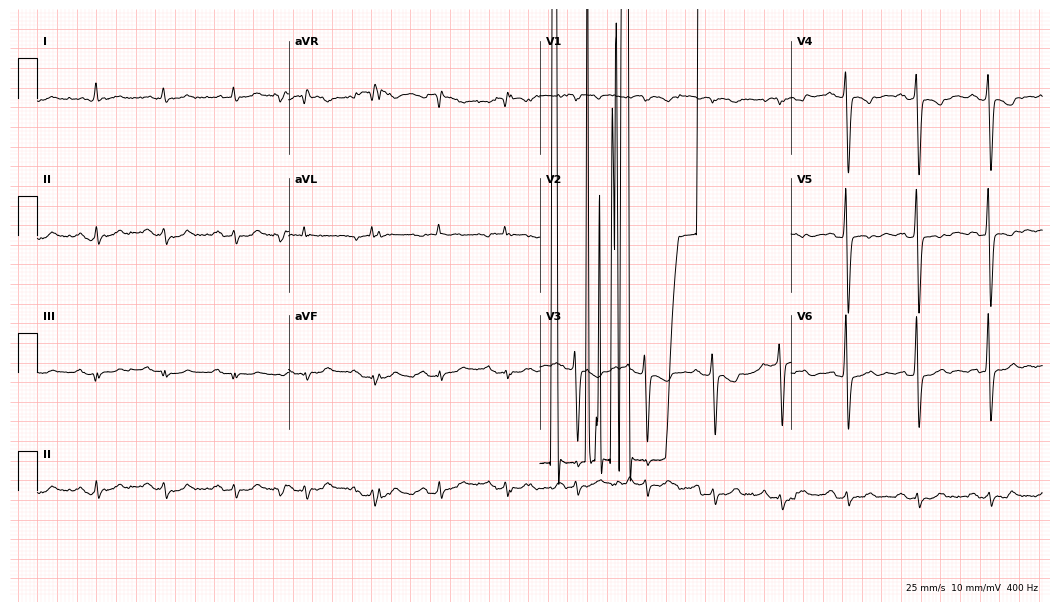
12-lead ECG from a 73-year-old male. No first-degree AV block, right bundle branch block, left bundle branch block, sinus bradycardia, atrial fibrillation or sinus tachycardia recorded for this tracing. Other findings, if any, are not listed.